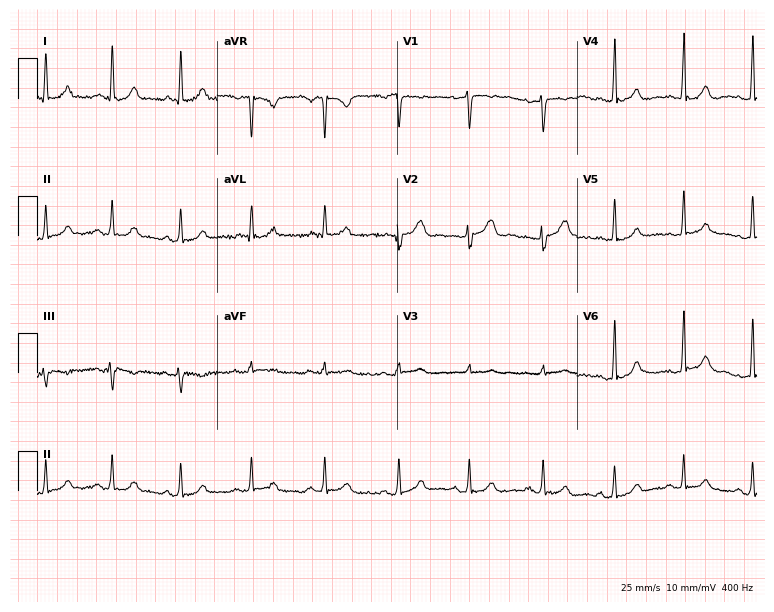
12-lead ECG from a 29-year-old woman. Recorded interpretation: within normal limits.